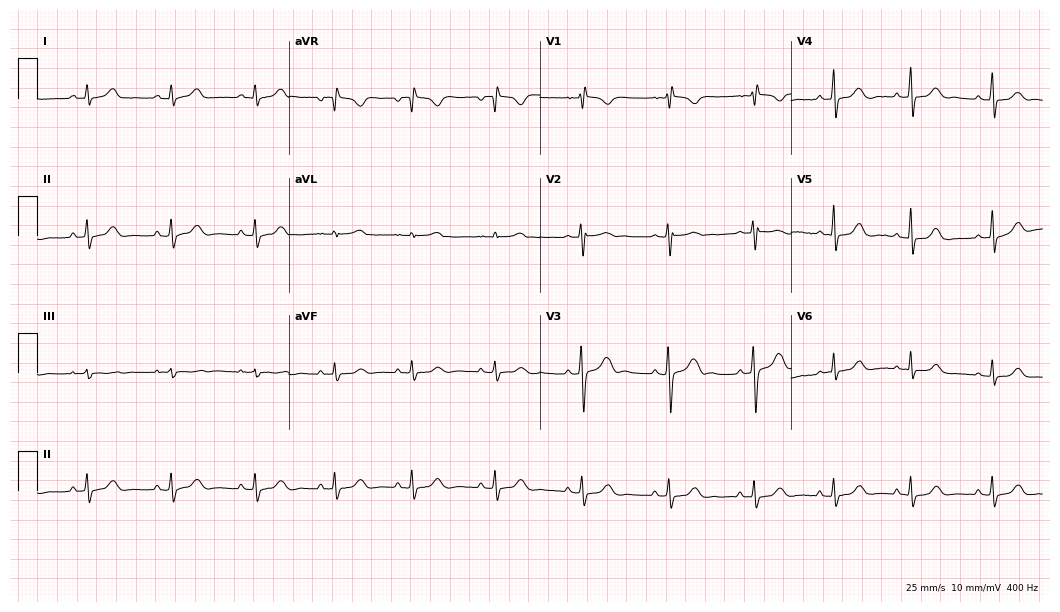
Resting 12-lead electrocardiogram (10.2-second recording at 400 Hz). Patient: a 33-year-old female. Read as a normal ECG.